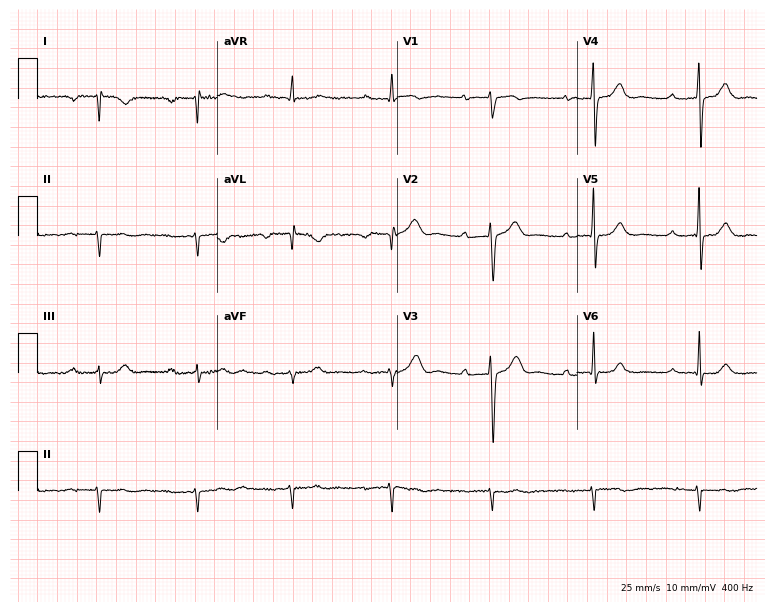
12-lead ECG from a 61-year-old man. No first-degree AV block, right bundle branch block (RBBB), left bundle branch block (LBBB), sinus bradycardia, atrial fibrillation (AF) or sinus tachycardia recorded for this tracing.